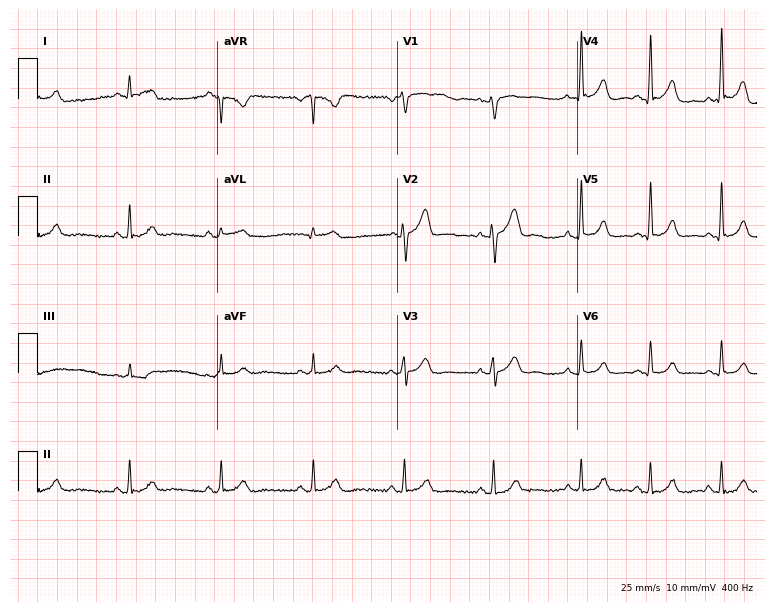
Electrocardiogram (7.3-second recording at 400 Hz), a 62-year-old man. Of the six screened findings (first-degree AV block, right bundle branch block (RBBB), left bundle branch block (LBBB), sinus bradycardia, atrial fibrillation (AF), sinus tachycardia), none is recorded.